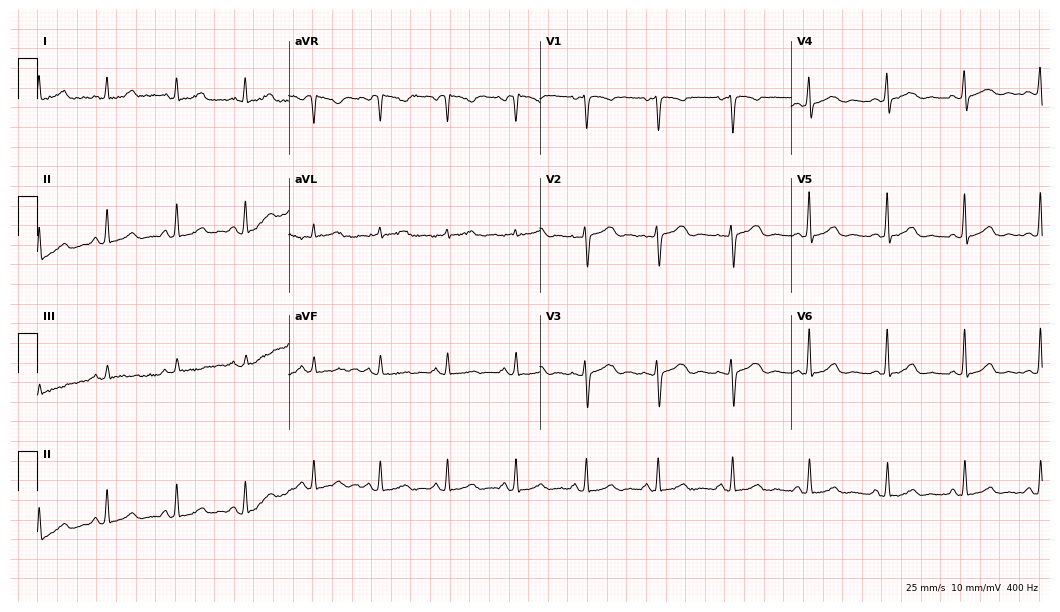
Standard 12-lead ECG recorded from a female patient, 50 years old. Read as a normal ECG.